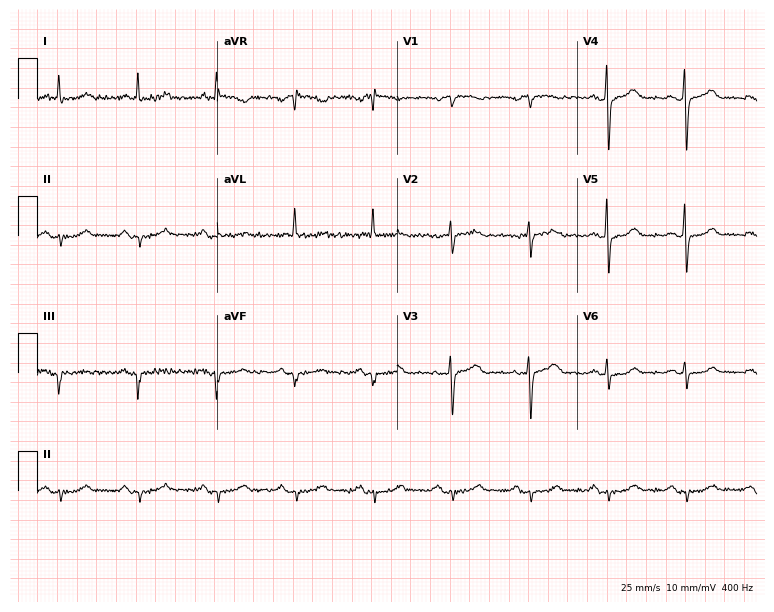
12-lead ECG (7.3-second recording at 400 Hz) from a 64-year-old female patient. Screened for six findings — first-degree AV block, right bundle branch block, left bundle branch block, sinus bradycardia, atrial fibrillation, sinus tachycardia — none is recorded.